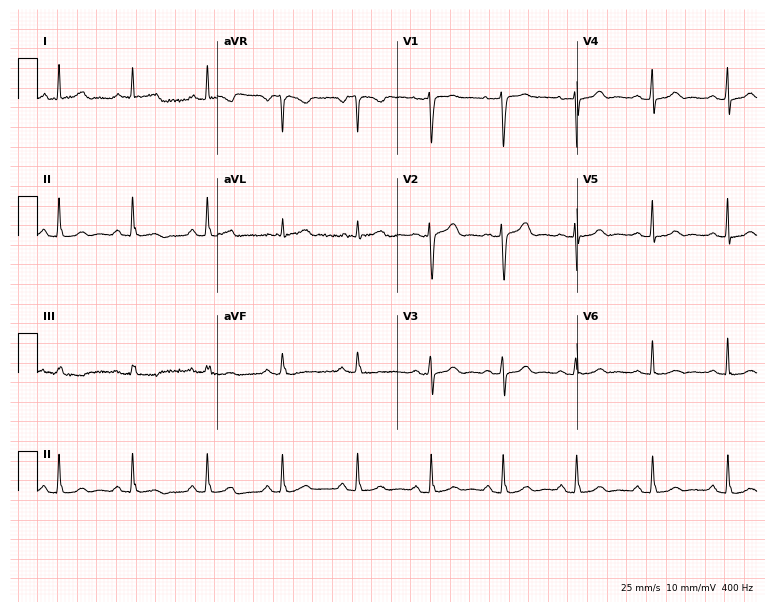
Standard 12-lead ECG recorded from a 46-year-old woman. None of these six findings is recorded: first-degree AV block, right bundle branch block (RBBB), left bundle branch block (LBBB), sinus bradycardia, atrial fibrillation (AF), sinus tachycardia.